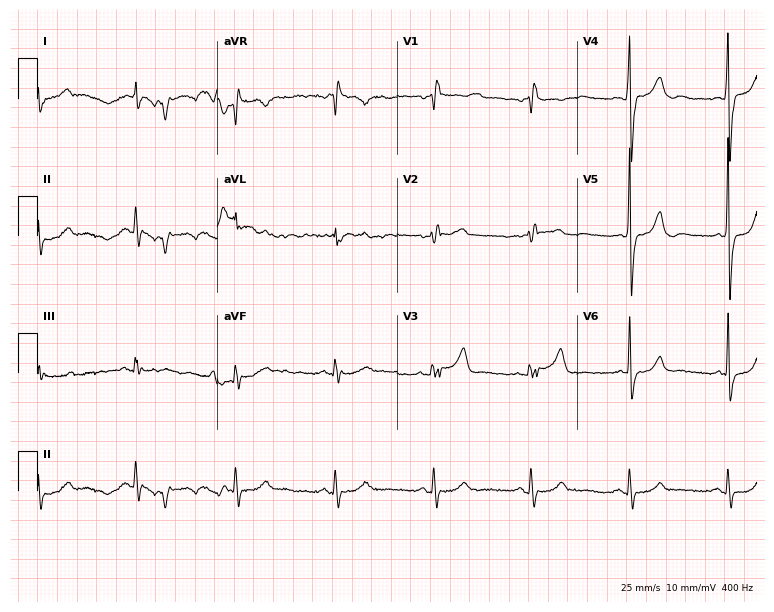
Electrocardiogram (7.3-second recording at 400 Hz), a male, 78 years old. Interpretation includes right bundle branch block (RBBB).